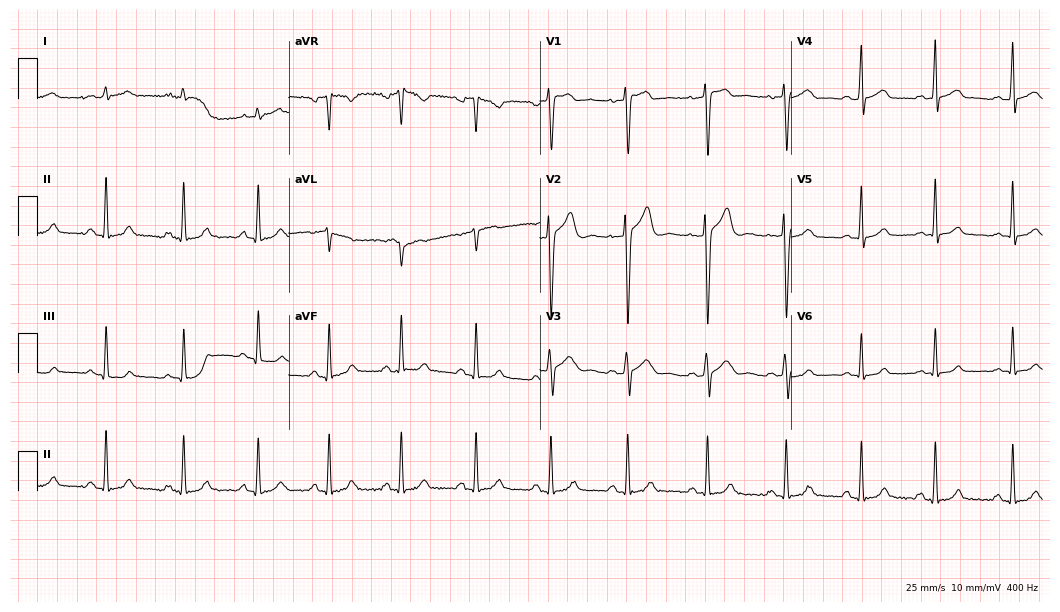
12-lead ECG from a 25-year-old male patient (10.2-second recording at 400 Hz). Recorded interpretation: within normal limits.